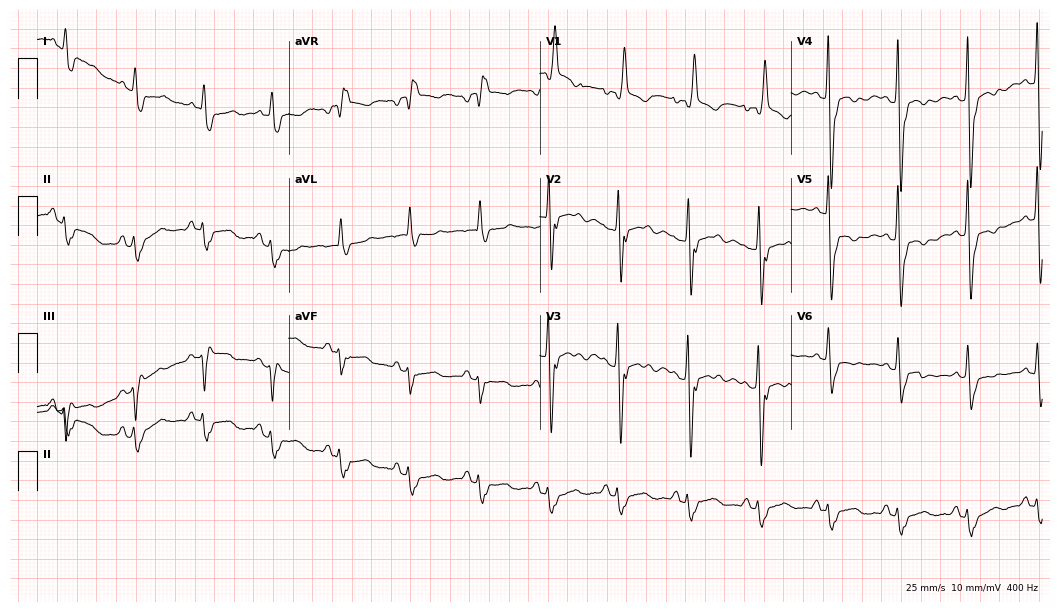
Electrocardiogram, a male, 76 years old. Interpretation includes right bundle branch block.